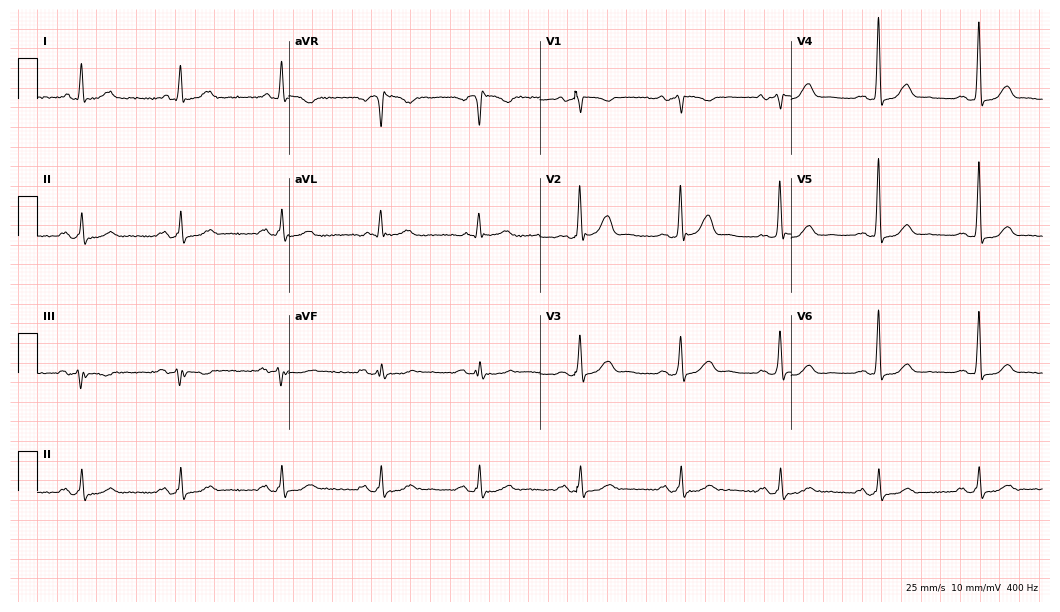
12-lead ECG (10.2-second recording at 400 Hz) from a female, 78 years old. Screened for six findings — first-degree AV block, right bundle branch block, left bundle branch block, sinus bradycardia, atrial fibrillation, sinus tachycardia — none is recorded.